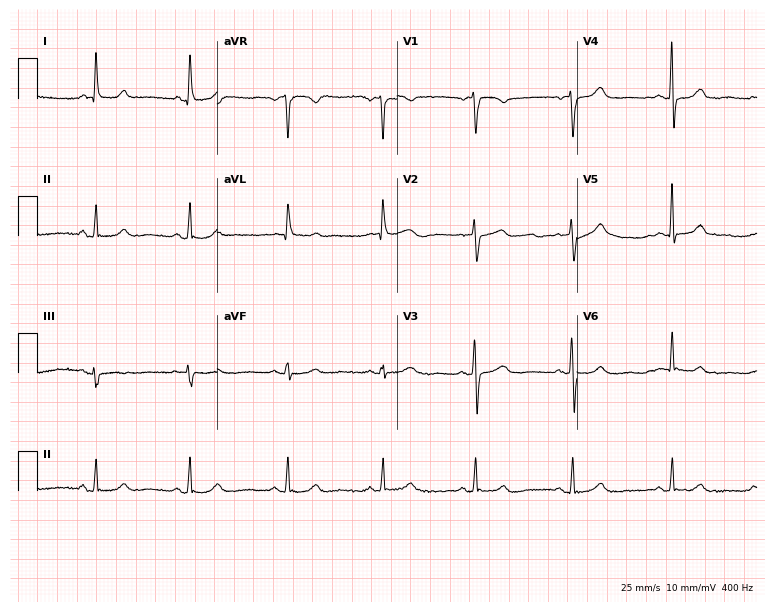
Standard 12-lead ECG recorded from a female patient, 75 years old (7.3-second recording at 400 Hz). Read as a normal ECG.